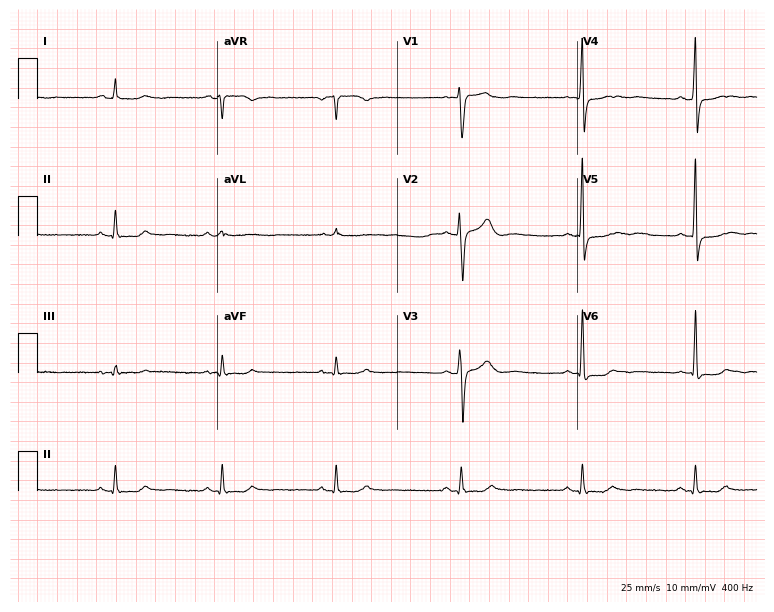
Electrocardiogram, a female, 45 years old. Of the six screened findings (first-degree AV block, right bundle branch block, left bundle branch block, sinus bradycardia, atrial fibrillation, sinus tachycardia), none is recorded.